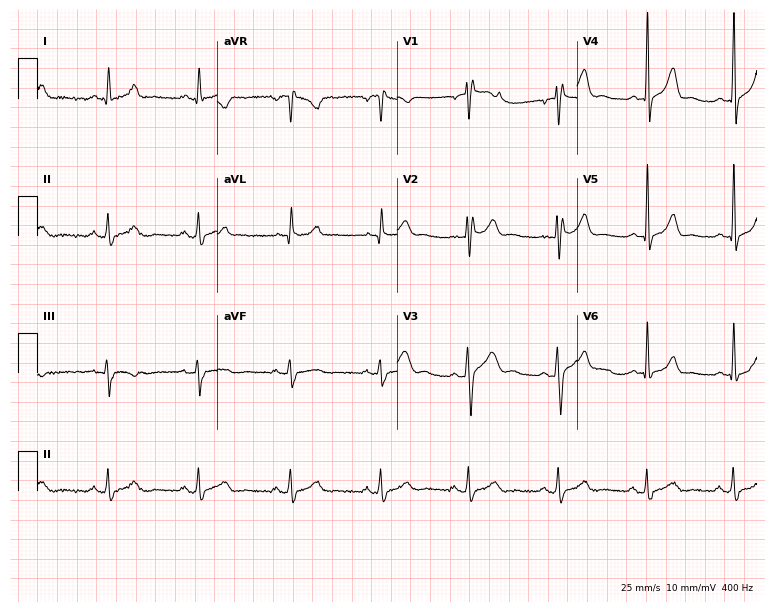
Standard 12-lead ECG recorded from a male, 43 years old (7.3-second recording at 400 Hz). None of these six findings is recorded: first-degree AV block, right bundle branch block, left bundle branch block, sinus bradycardia, atrial fibrillation, sinus tachycardia. Findings outside these six are not listed.